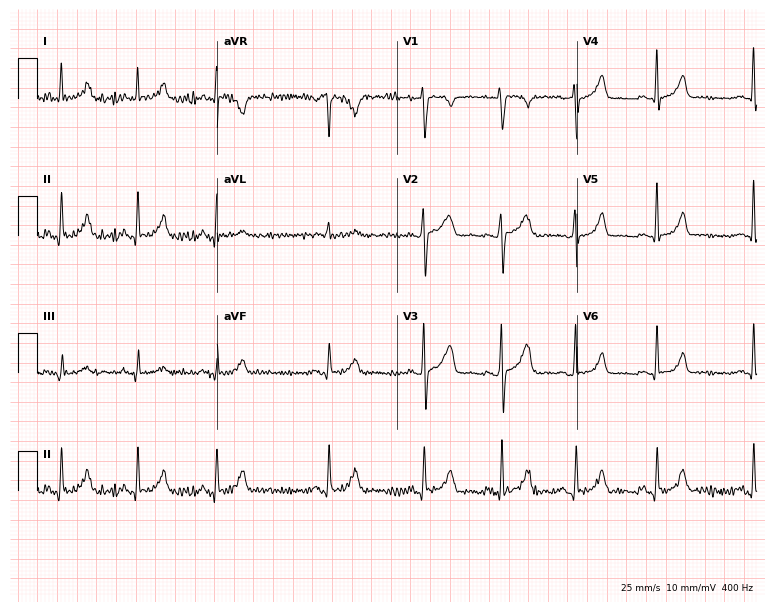
Electrocardiogram (7.3-second recording at 400 Hz), a woman, 22 years old. Overall reading on record: normal ECG.